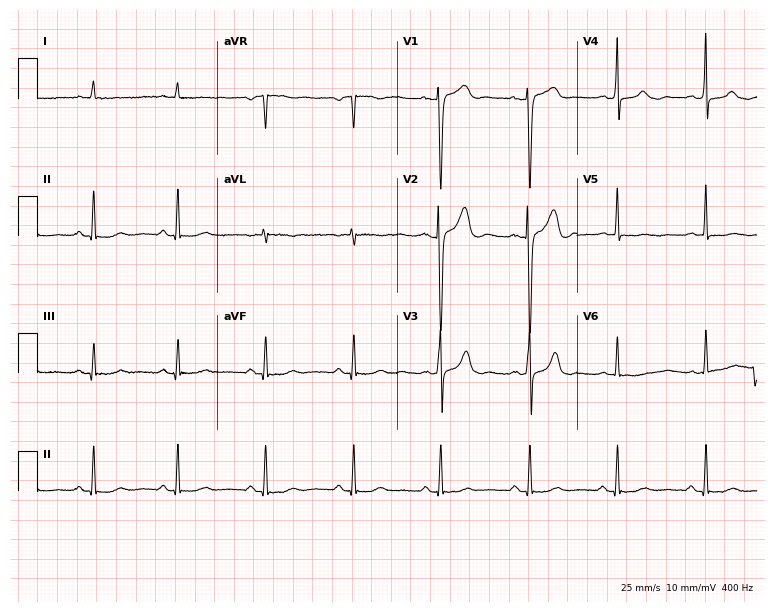
Standard 12-lead ECG recorded from a female patient, 44 years old (7.3-second recording at 400 Hz). None of these six findings is recorded: first-degree AV block, right bundle branch block (RBBB), left bundle branch block (LBBB), sinus bradycardia, atrial fibrillation (AF), sinus tachycardia. Findings outside these six are not listed.